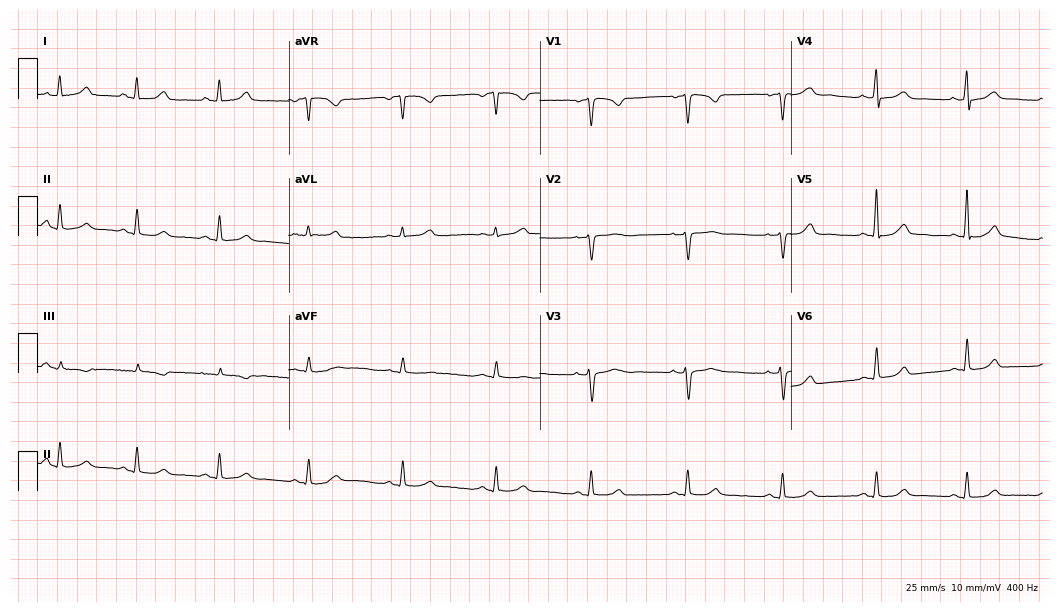
12-lead ECG (10.2-second recording at 400 Hz) from a 43-year-old female patient. Labelled as a normal ECG.